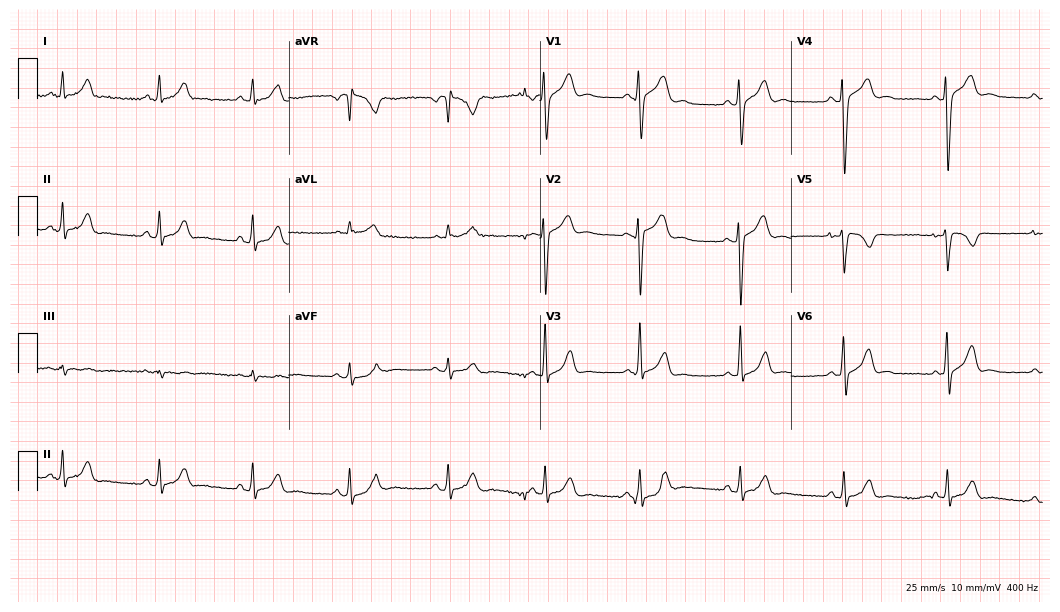
Standard 12-lead ECG recorded from a male patient, 34 years old. None of these six findings is recorded: first-degree AV block, right bundle branch block (RBBB), left bundle branch block (LBBB), sinus bradycardia, atrial fibrillation (AF), sinus tachycardia.